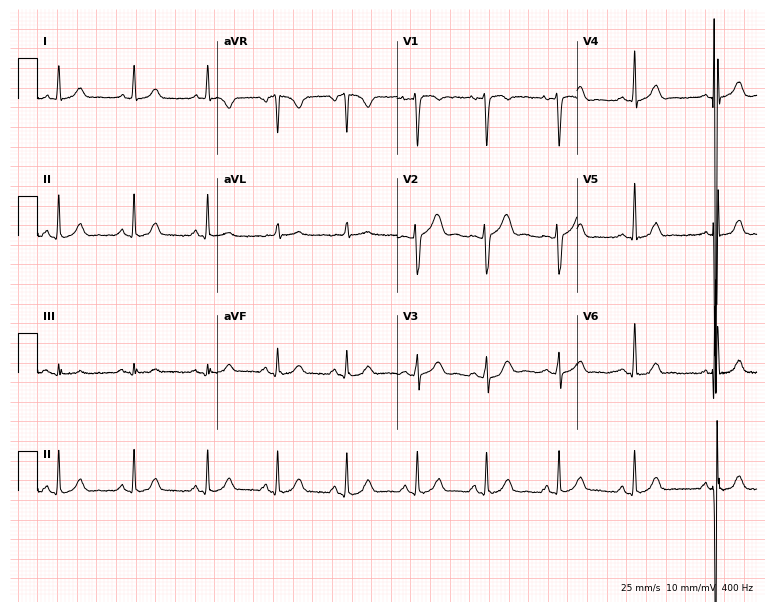
Electrocardiogram (7.3-second recording at 400 Hz), a female patient, 29 years old. Overall reading on record: normal ECG.